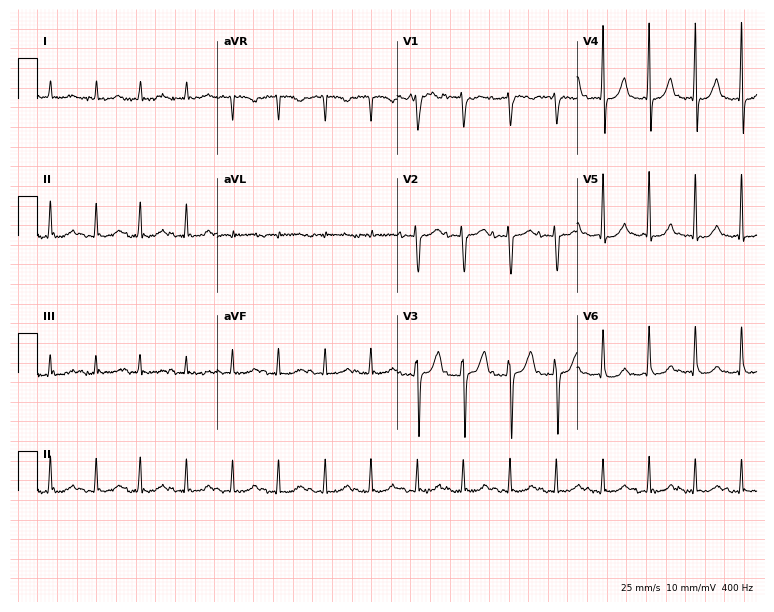
Standard 12-lead ECG recorded from an 85-year-old male patient (7.3-second recording at 400 Hz). None of these six findings is recorded: first-degree AV block, right bundle branch block, left bundle branch block, sinus bradycardia, atrial fibrillation, sinus tachycardia.